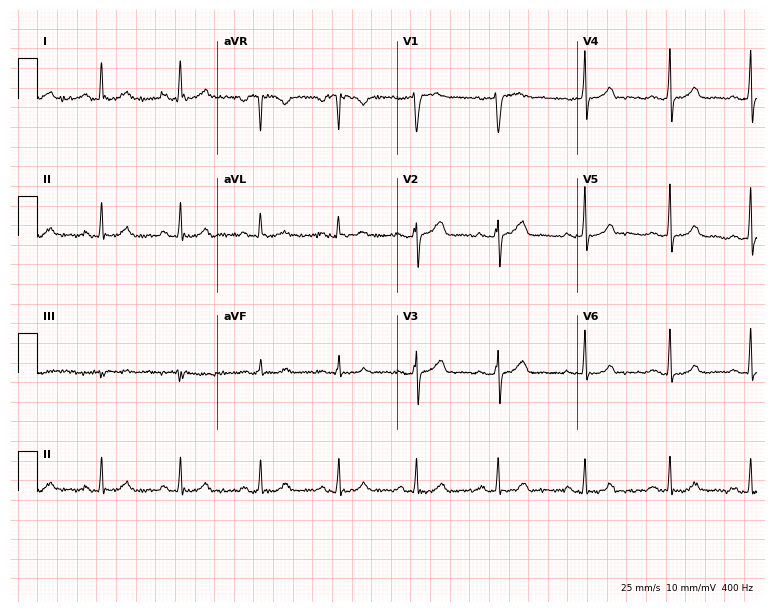
Resting 12-lead electrocardiogram (7.3-second recording at 400 Hz). Patient: a 48-year-old female. Read as a normal ECG.